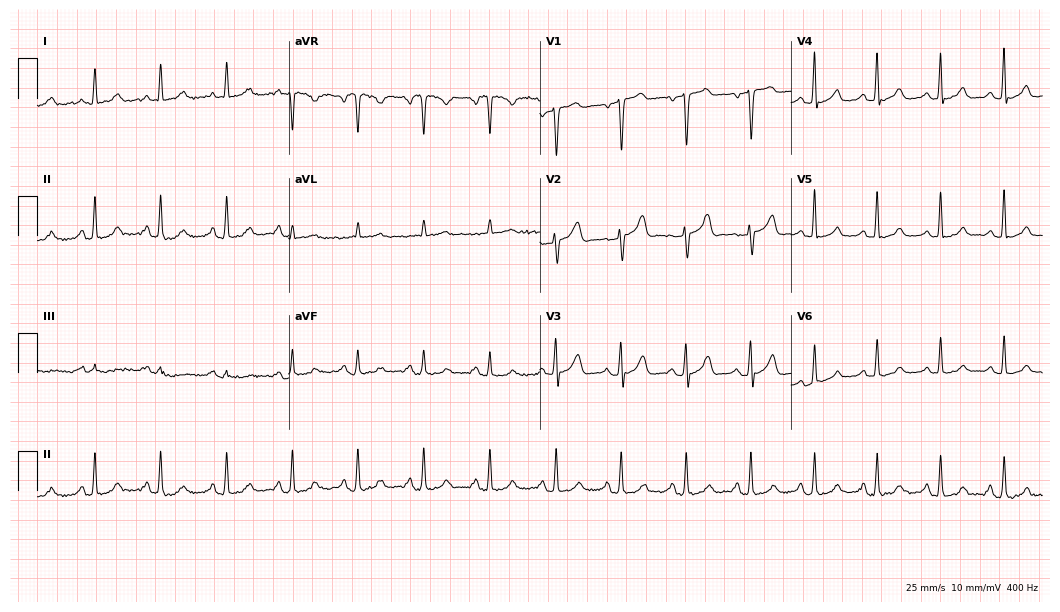
Standard 12-lead ECG recorded from a 45-year-old female. Read as a normal ECG.